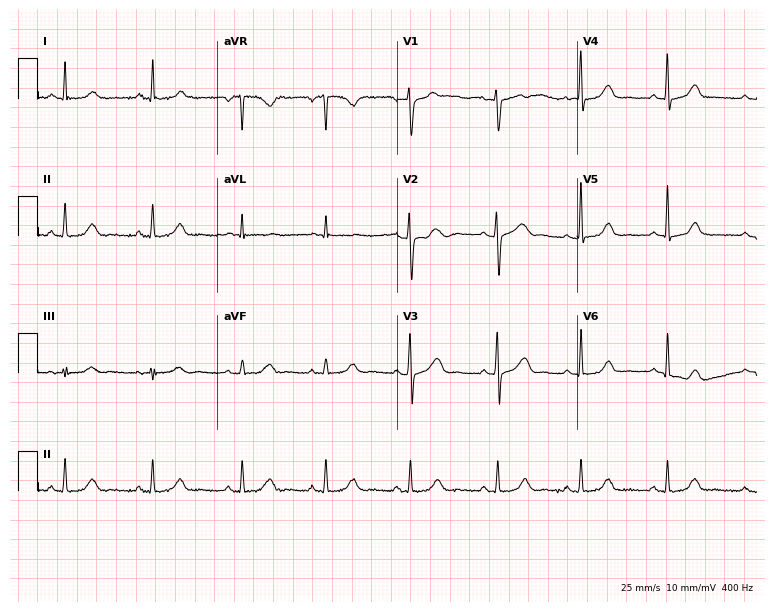
12-lead ECG from a 33-year-old female patient (7.3-second recording at 400 Hz). Recorded interpretation: within normal limits.